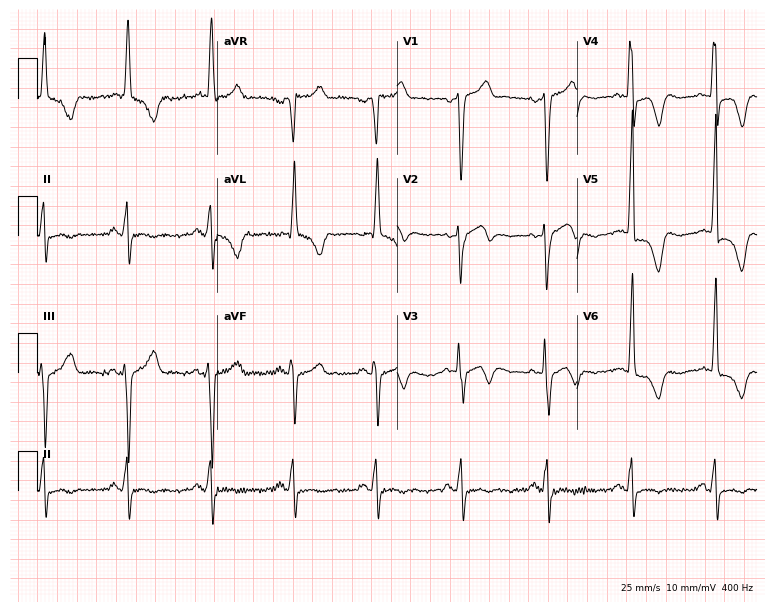
Resting 12-lead electrocardiogram. Patient: a man, 77 years old. None of these six findings is recorded: first-degree AV block, right bundle branch block, left bundle branch block, sinus bradycardia, atrial fibrillation, sinus tachycardia. Findings outside these six are not listed.